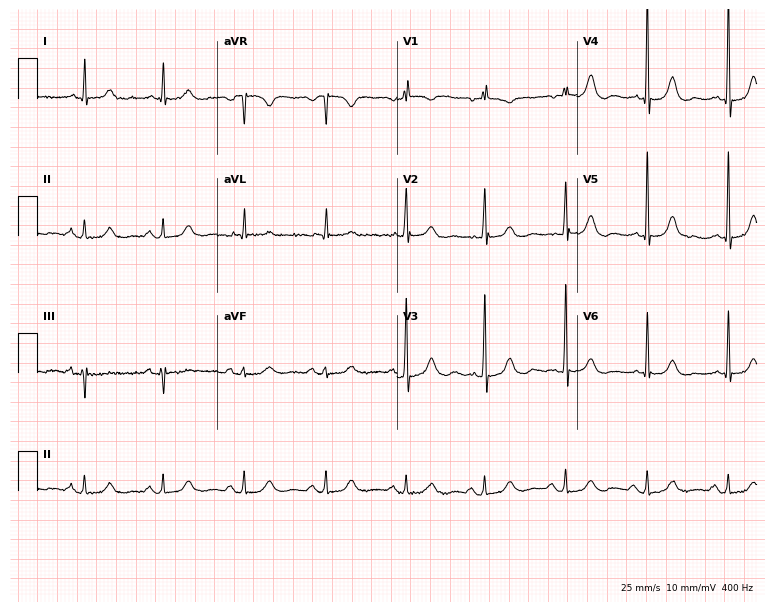
12-lead ECG from an 84-year-old female patient. Labelled as a normal ECG.